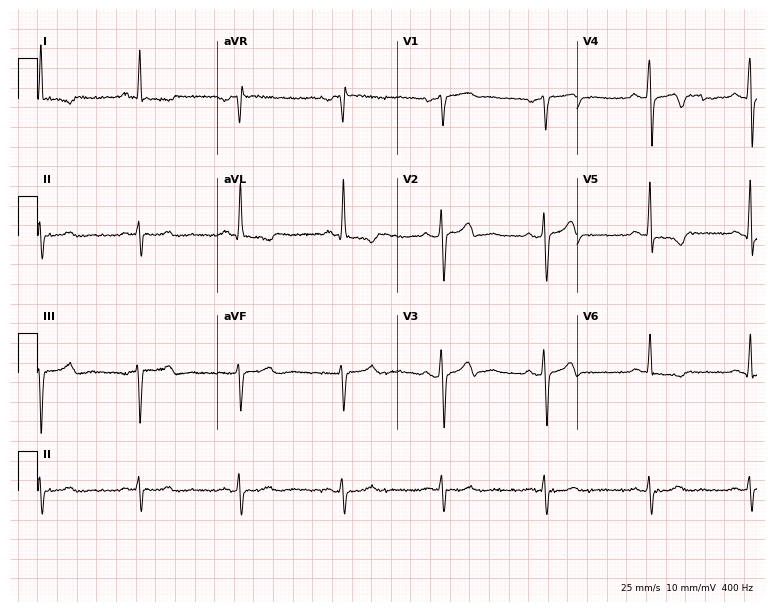
Standard 12-lead ECG recorded from an 84-year-old man. None of these six findings is recorded: first-degree AV block, right bundle branch block, left bundle branch block, sinus bradycardia, atrial fibrillation, sinus tachycardia.